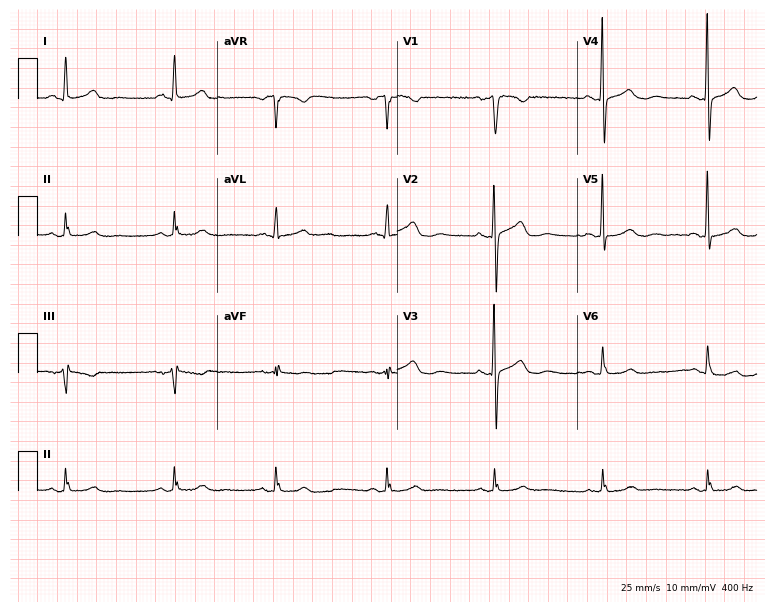
Resting 12-lead electrocardiogram. Patient: a 54-year-old female. None of these six findings is recorded: first-degree AV block, right bundle branch block, left bundle branch block, sinus bradycardia, atrial fibrillation, sinus tachycardia. Other findings, if any, are not listed.